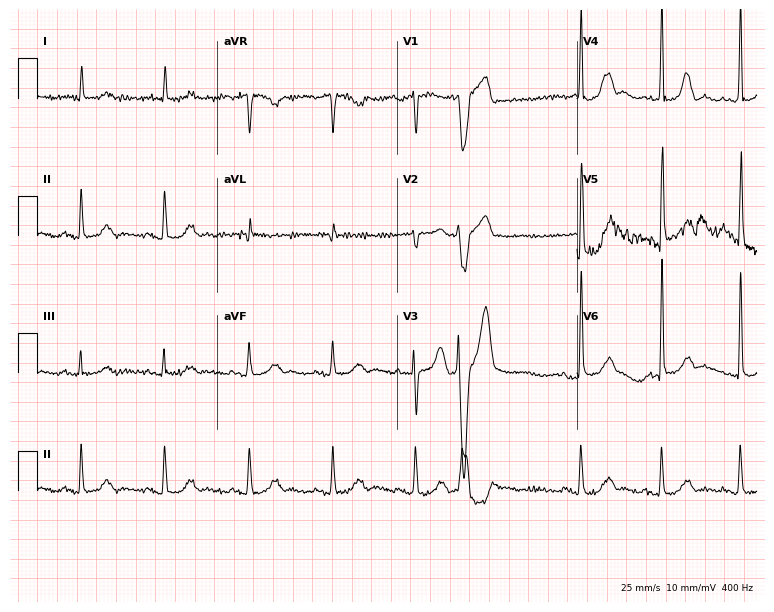
Resting 12-lead electrocardiogram. Patient: a 79-year-old woman. None of these six findings is recorded: first-degree AV block, right bundle branch block, left bundle branch block, sinus bradycardia, atrial fibrillation, sinus tachycardia. Findings outside these six are not listed.